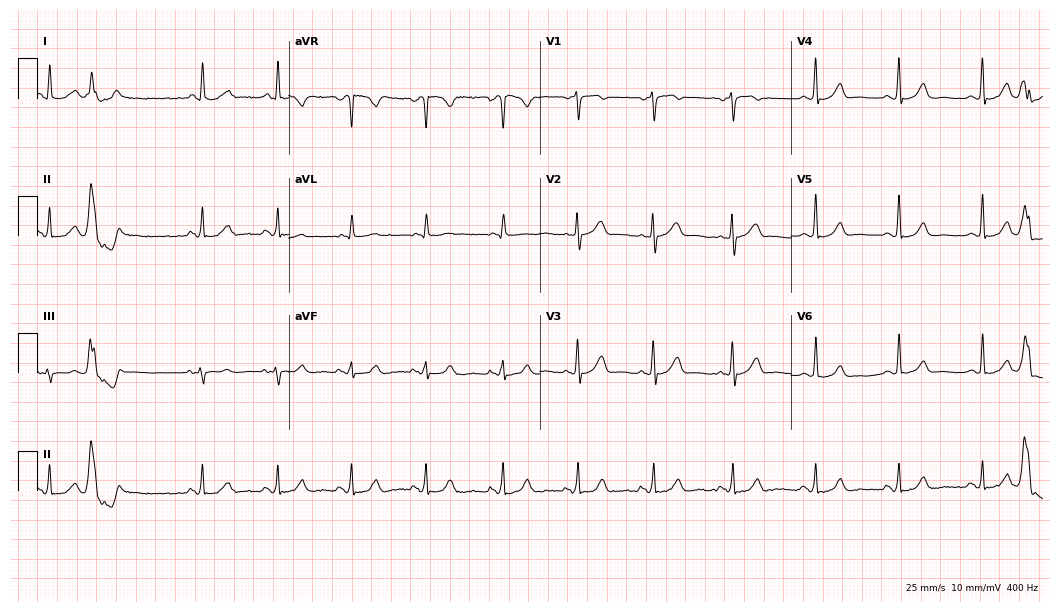
12-lead ECG from a female, 69 years old (10.2-second recording at 400 Hz). Recorded interpretation: within normal limits.